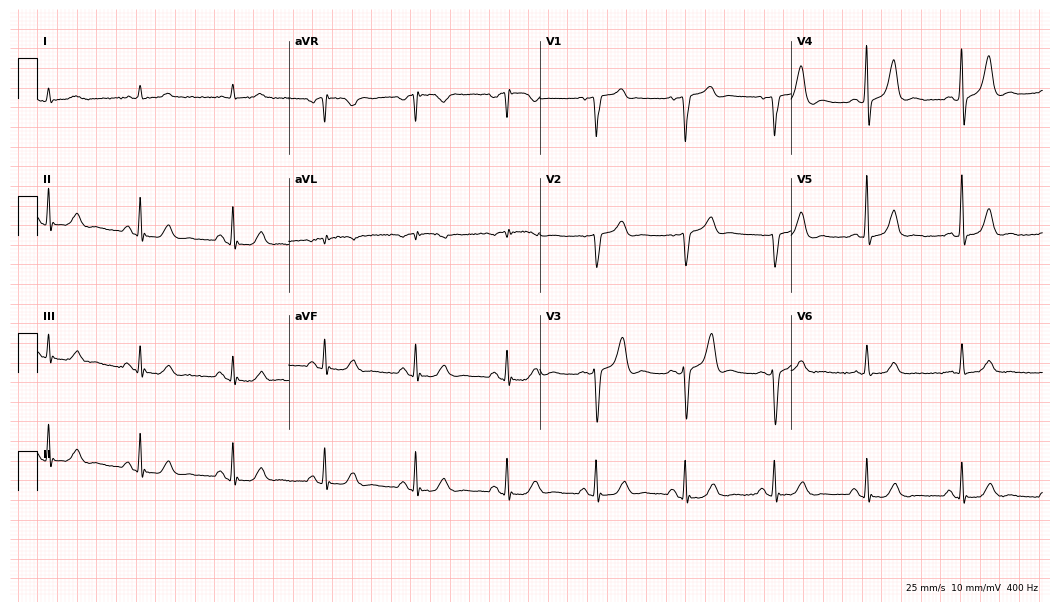
12-lead ECG from a male, 81 years old (10.2-second recording at 400 Hz). Recorded interpretation: within normal limits.